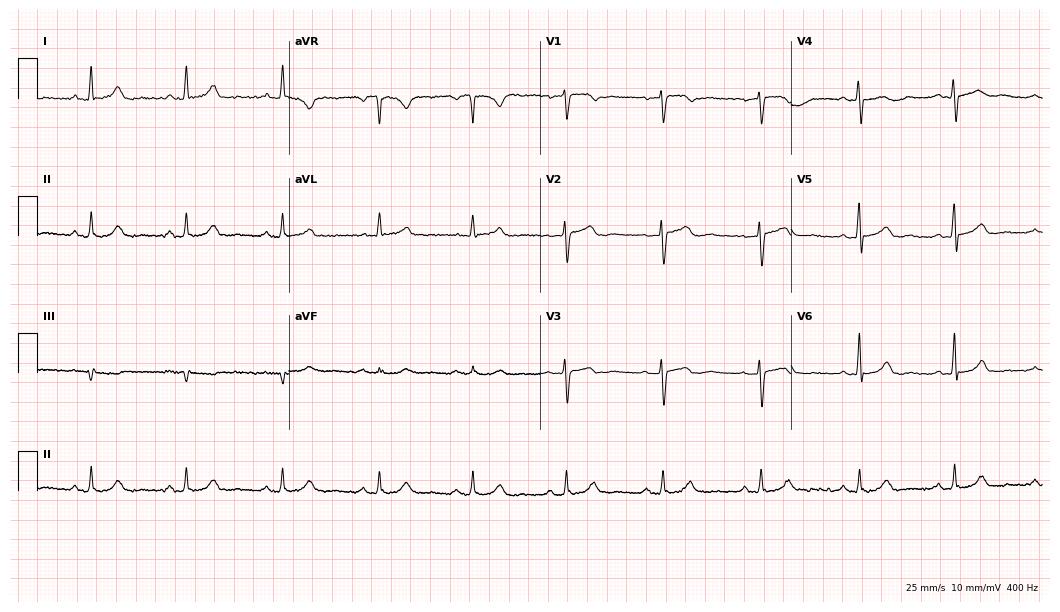
12-lead ECG (10.2-second recording at 400 Hz) from a 59-year-old female patient. Labelled as a normal ECG.